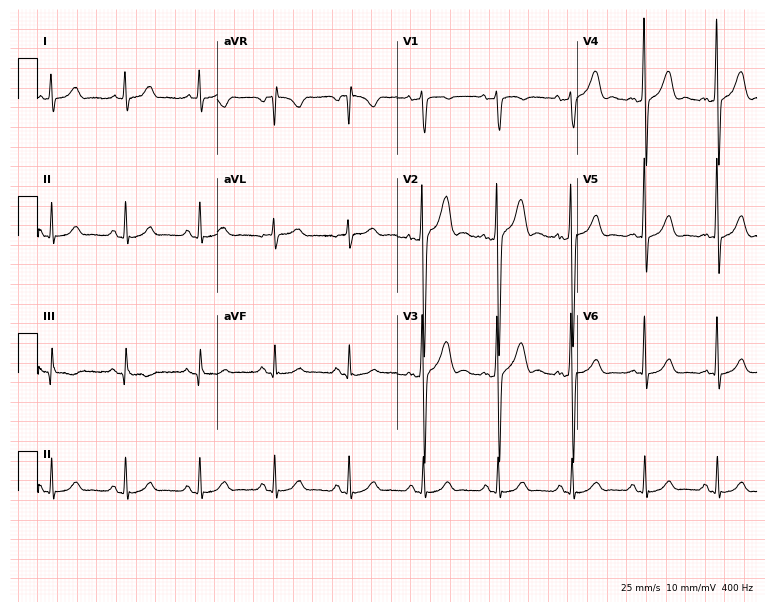
ECG (7.3-second recording at 400 Hz) — a 52-year-old male. Labelled as a normal ECG.